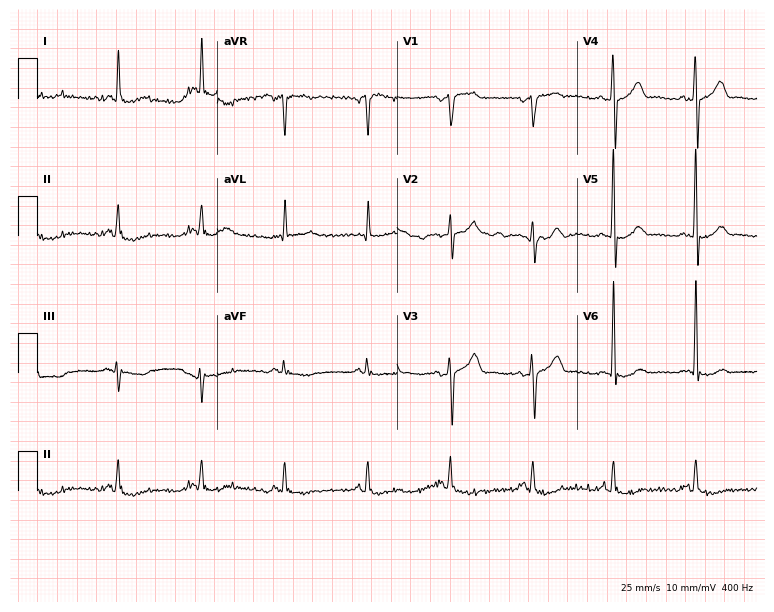
Standard 12-lead ECG recorded from a 70-year-old man (7.3-second recording at 400 Hz). None of these six findings is recorded: first-degree AV block, right bundle branch block, left bundle branch block, sinus bradycardia, atrial fibrillation, sinus tachycardia.